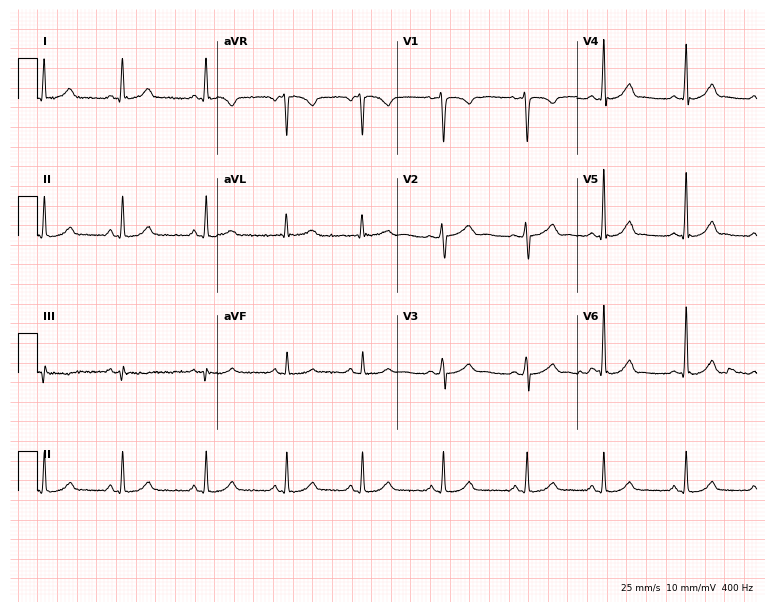
Electrocardiogram (7.3-second recording at 400 Hz), a 38-year-old woman. Overall reading on record: normal ECG.